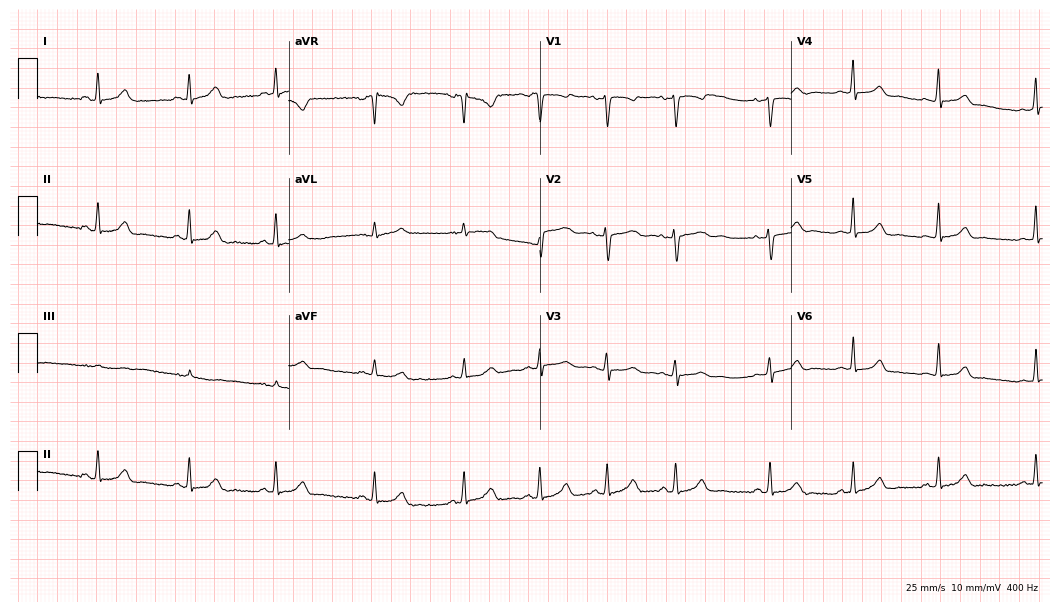
Standard 12-lead ECG recorded from a 20-year-old female patient (10.2-second recording at 400 Hz). Read as a normal ECG.